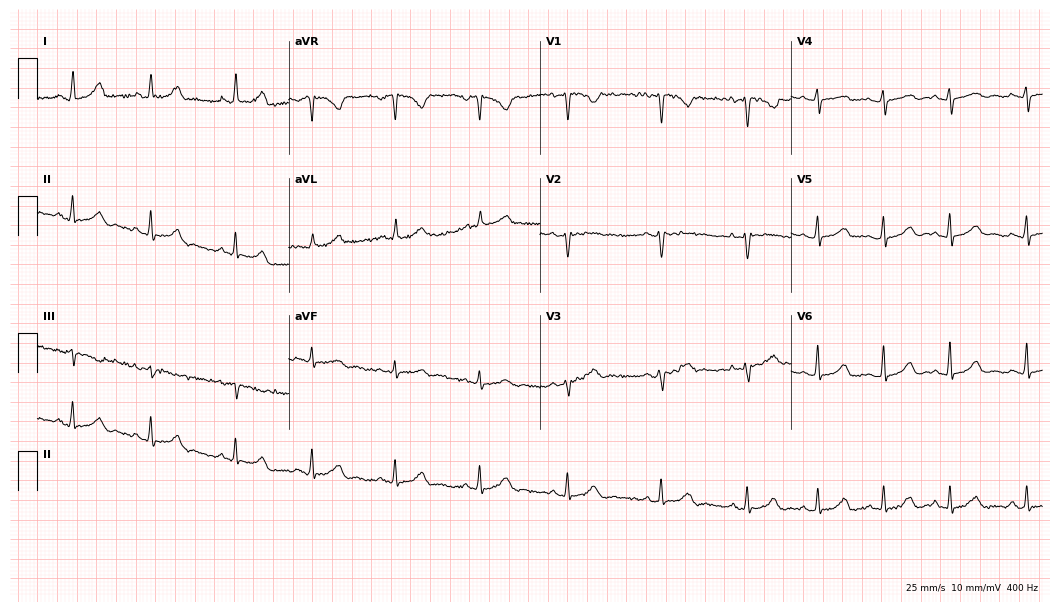
12-lead ECG from a 24-year-old female. No first-degree AV block, right bundle branch block, left bundle branch block, sinus bradycardia, atrial fibrillation or sinus tachycardia recorded for this tracing.